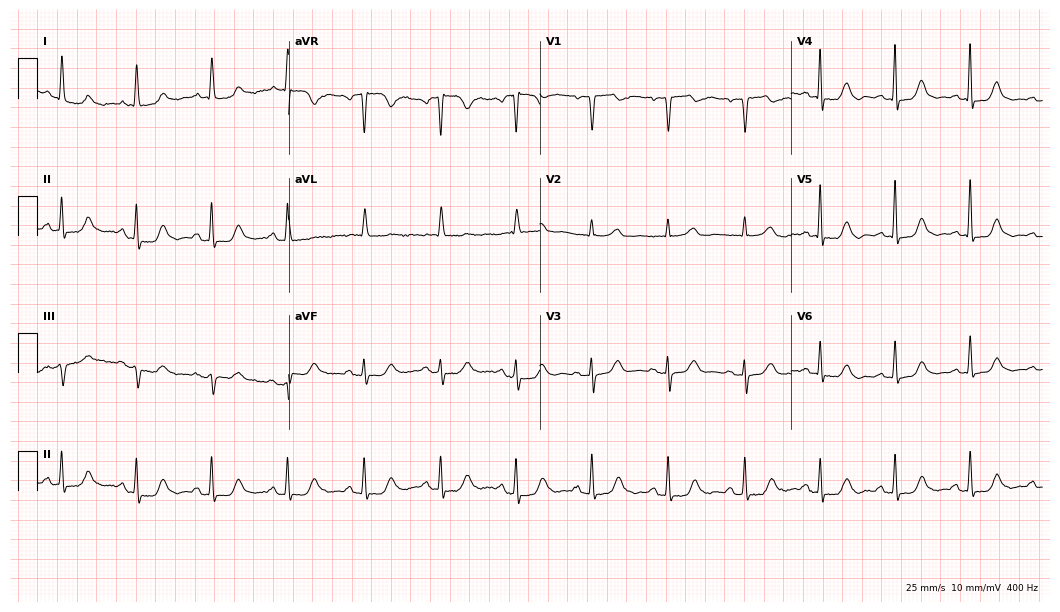
Resting 12-lead electrocardiogram (10.2-second recording at 400 Hz). Patient: a 78-year-old female. None of these six findings is recorded: first-degree AV block, right bundle branch block (RBBB), left bundle branch block (LBBB), sinus bradycardia, atrial fibrillation (AF), sinus tachycardia. Other findings, if any, are not listed.